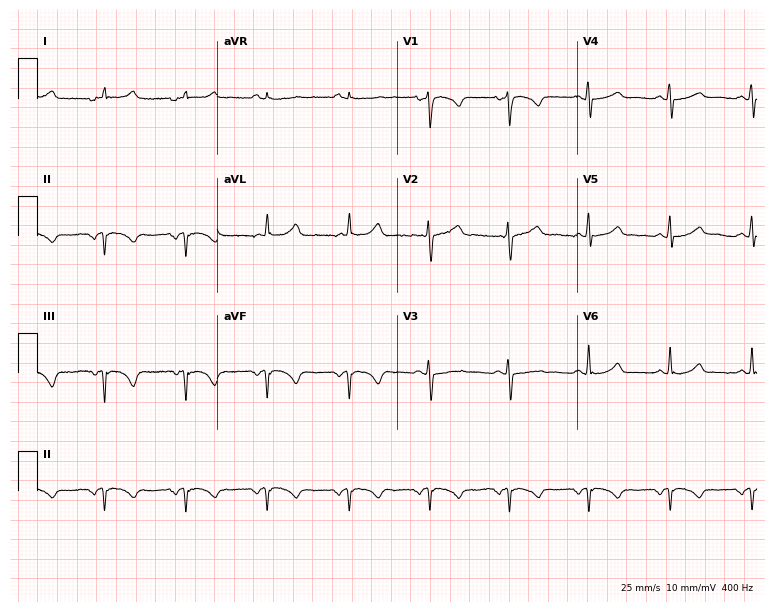
Electrocardiogram, a 41-year-old female. Of the six screened findings (first-degree AV block, right bundle branch block, left bundle branch block, sinus bradycardia, atrial fibrillation, sinus tachycardia), none is recorded. Other findings, if any, are not listed.